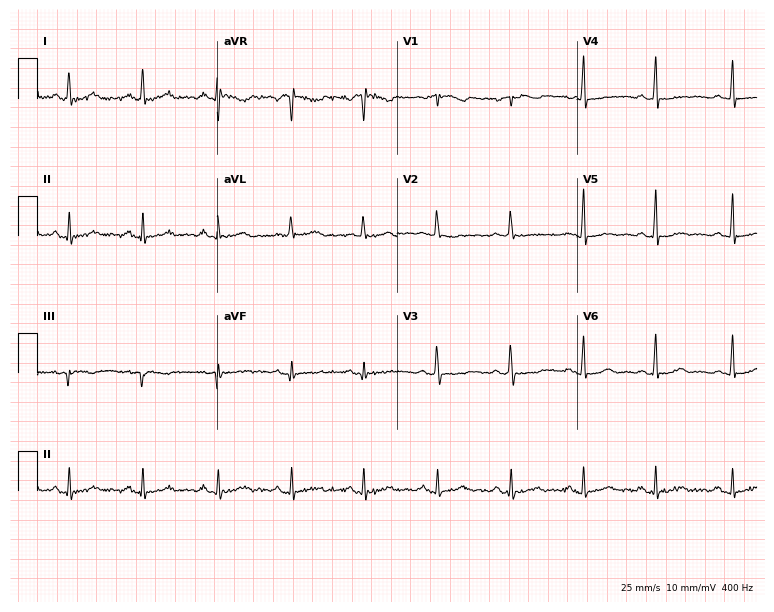
Electrocardiogram (7.3-second recording at 400 Hz), a 54-year-old female patient. Of the six screened findings (first-degree AV block, right bundle branch block, left bundle branch block, sinus bradycardia, atrial fibrillation, sinus tachycardia), none is recorded.